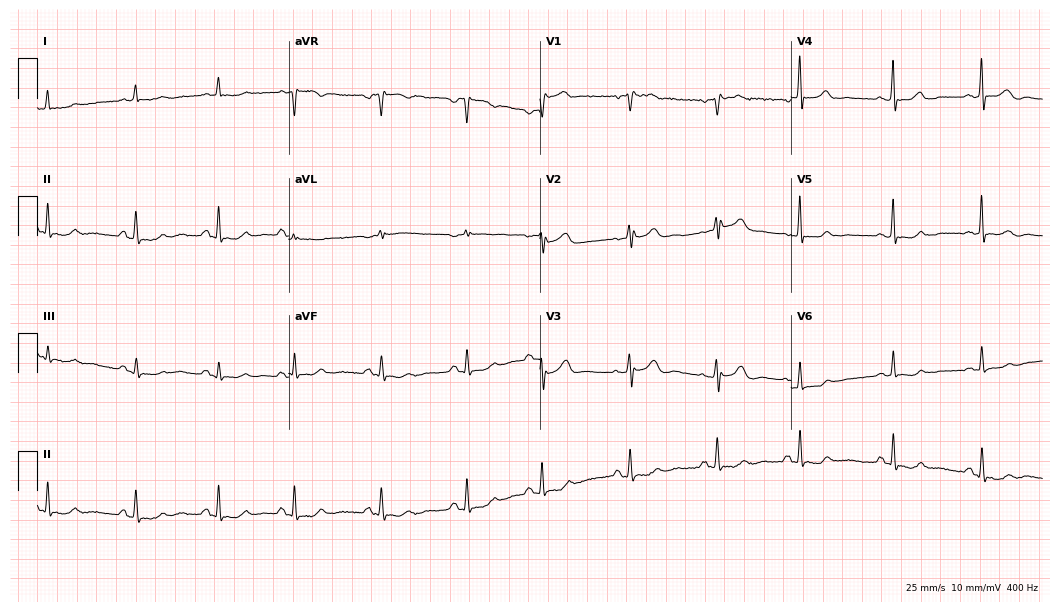
Electrocardiogram (10.2-second recording at 400 Hz), a female patient, 79 years old. Of the six screened findings (first-degree AV block, right bundle branch block (RBBB), left bundle branch block (LBBB), sinus bradycardia, atrial fibrillation (AF), sinus tachycardia), none is recorded.